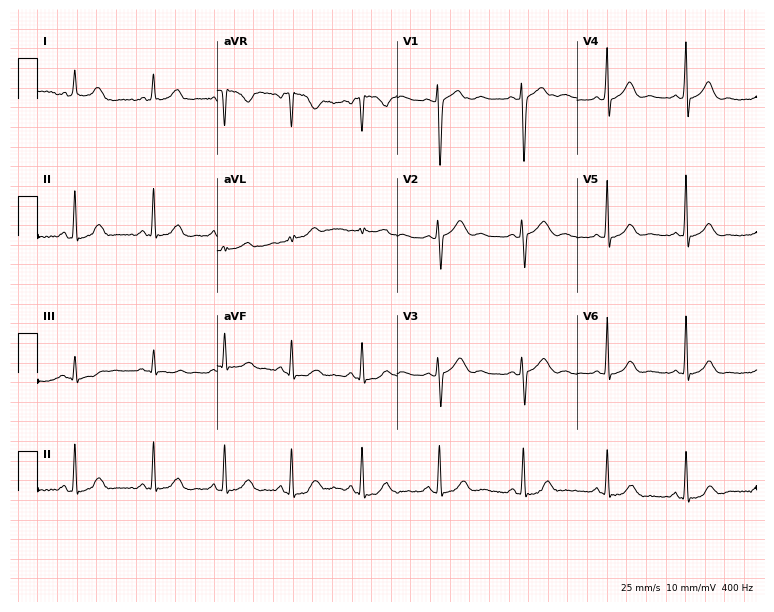
Standard 12-lead ECG recorded from a 23-year-old female (7.3-second recording at 400 Hz). None of these six findings is recorded: first-degree AV block, right bundle branch block (RBBB), left bundle branch block (LBBB), sinus bradycardia, atrial fibrillation (AF), sinus tachycardia.